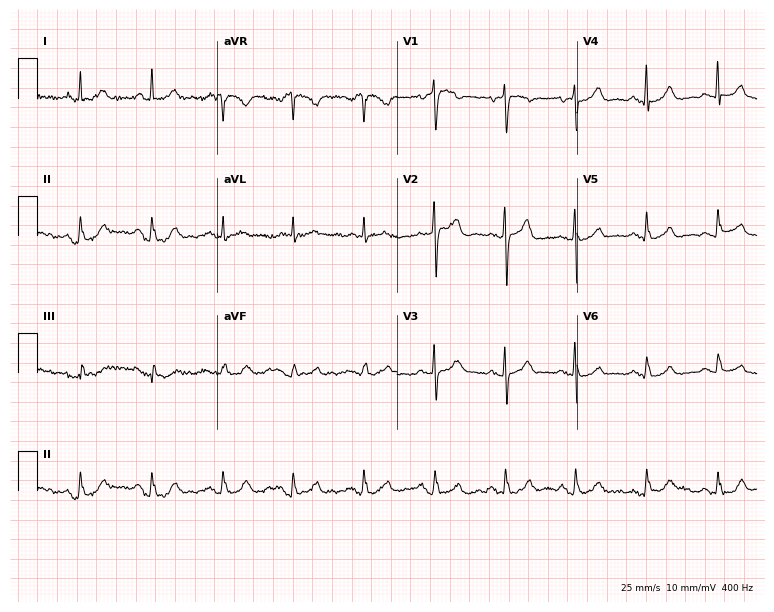
Standard 12-lead ECG recorded from a female patient, 75 years old (7.3-second recording at 400 Hz). None of these six findings is recorded: first-degree AV block, right bundle branch block (RBBB), left bundle branch block (LBBB), sinus bradycardia, atrial fibrillation (AF), sinus tachycardia.